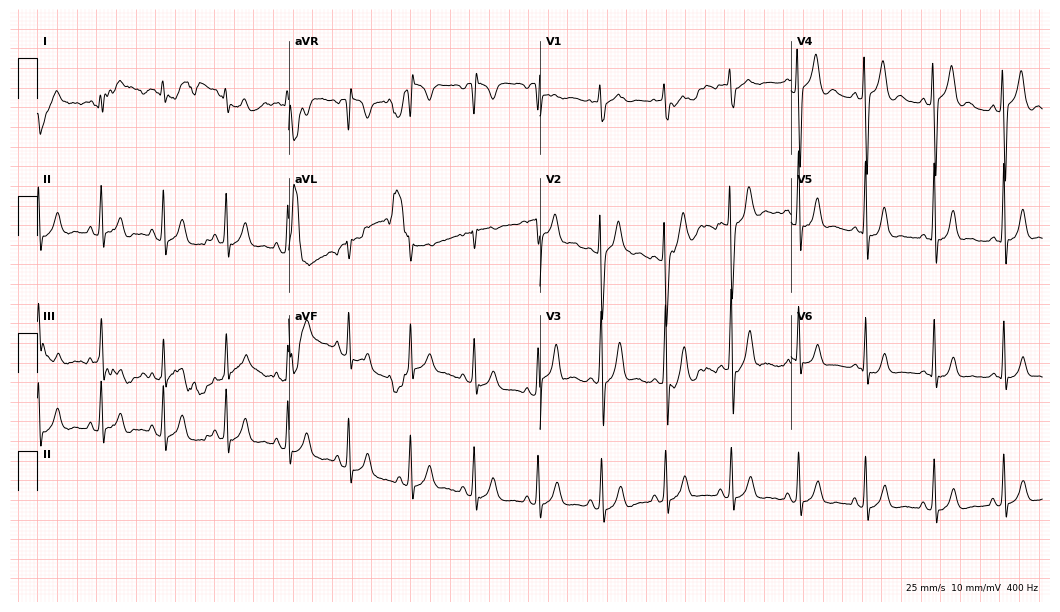
Electrocardiogram, a 17-year-old male. Of the six screened findings (first-degree AV block, right bundle branch block (RBBB), left bundle branch block (LBBB), sinus bradycardia, atrial fibrillation (AF), sinus tachycardia), none is recorded. Only these six findings were labelled.